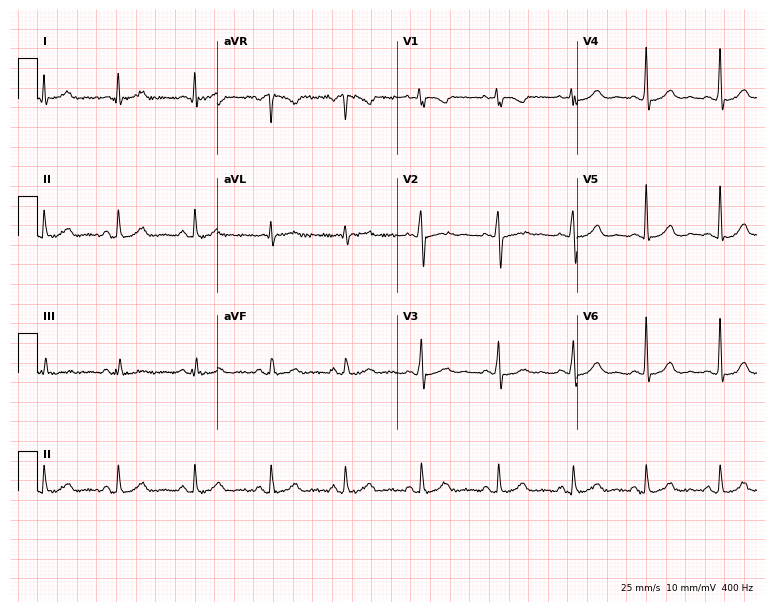
Electrocardiogram, a 42-year-old man. Overall reading on record: normal ECG.